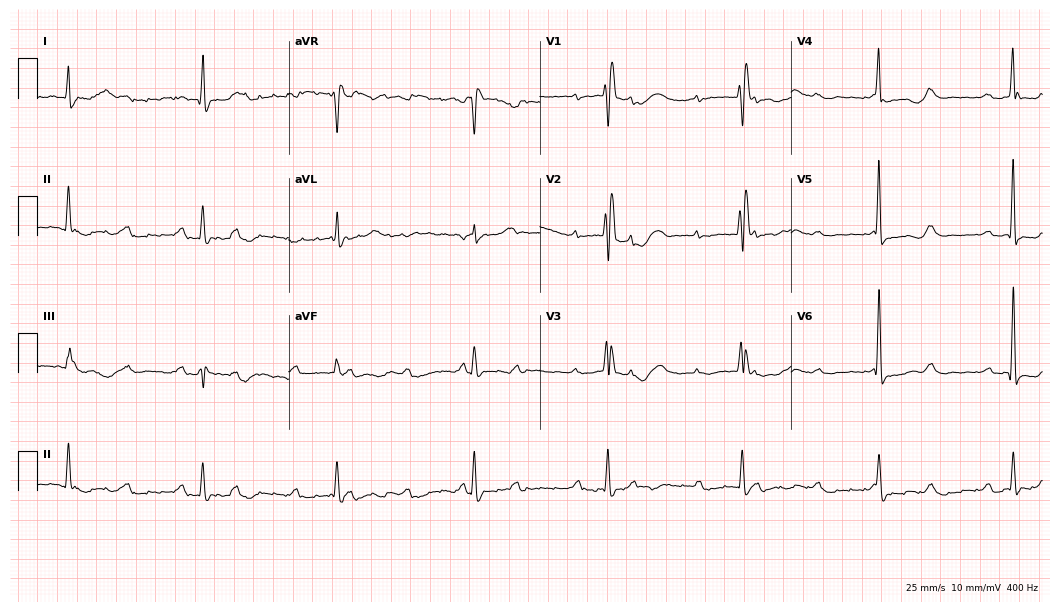
ECG — a 68-year-old female. Screened for six findings — first-degree AV block, right bundle branch block, left bundle branch block, sinus bradycardia, atrial fibrillation, sinus tachycardia — none is recorded.